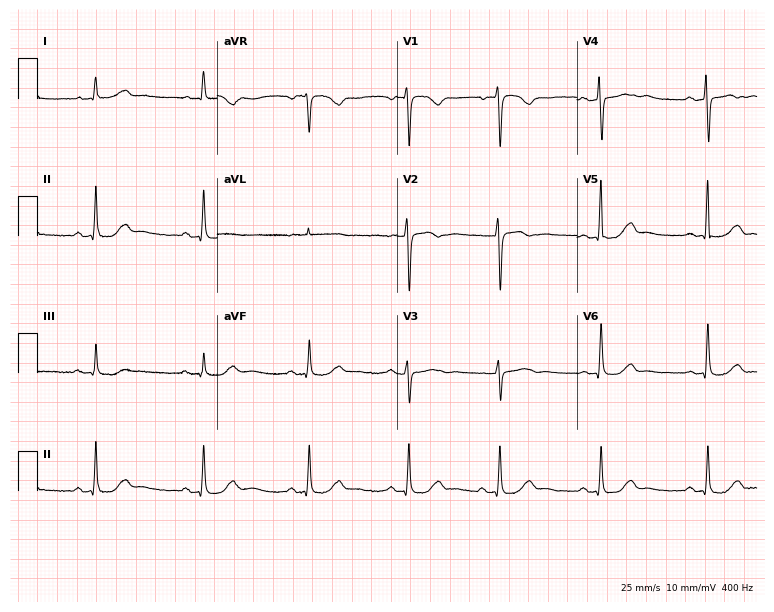
Standard 12-lead ECG recorded from a 78-year-old female (7.3-second recording at 400 Hz). Read as a normal ECG.